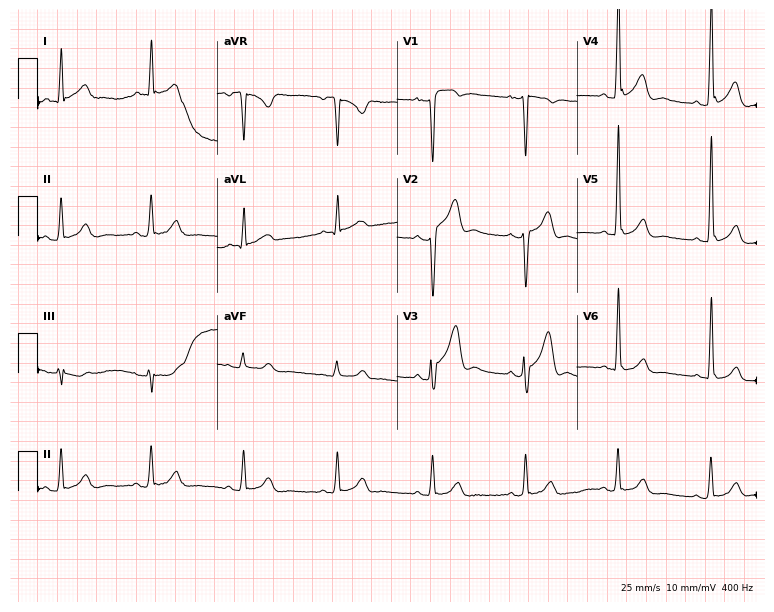
Resting 12-lead electrocardiogram. Patient: a 45-year-old man. None of these six findings is recorded: first-degree AV block, right bundle branch block (RBBB), left bundle branch block (LBBB), sinus bradycardia, atrial fibrillation (AF), sinus tachycardia. Findings outside these six are not listed.